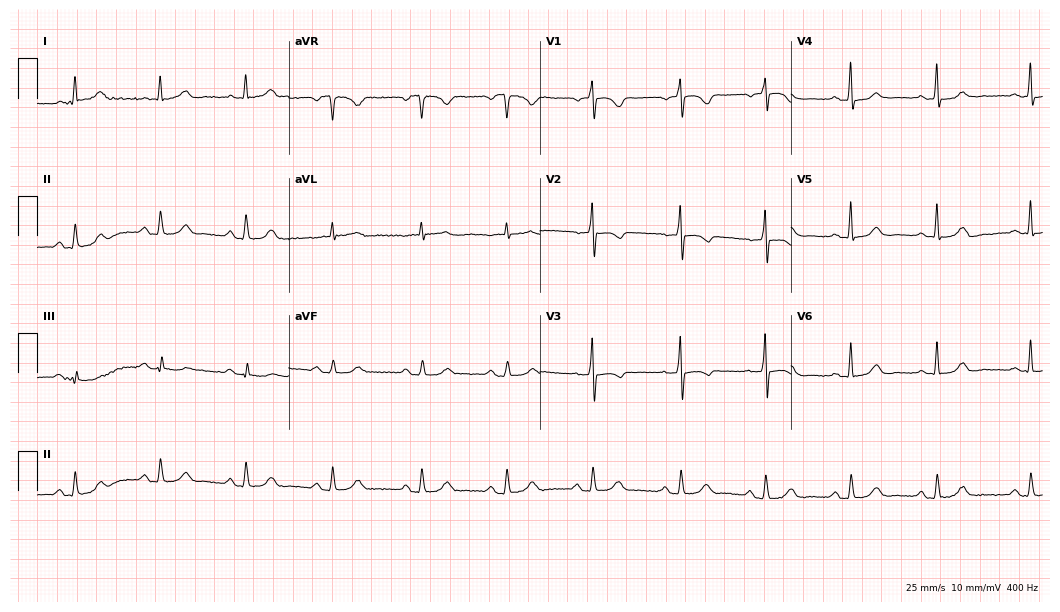
ECG — a 75-year-old woman. Labelled as a normal ECG.